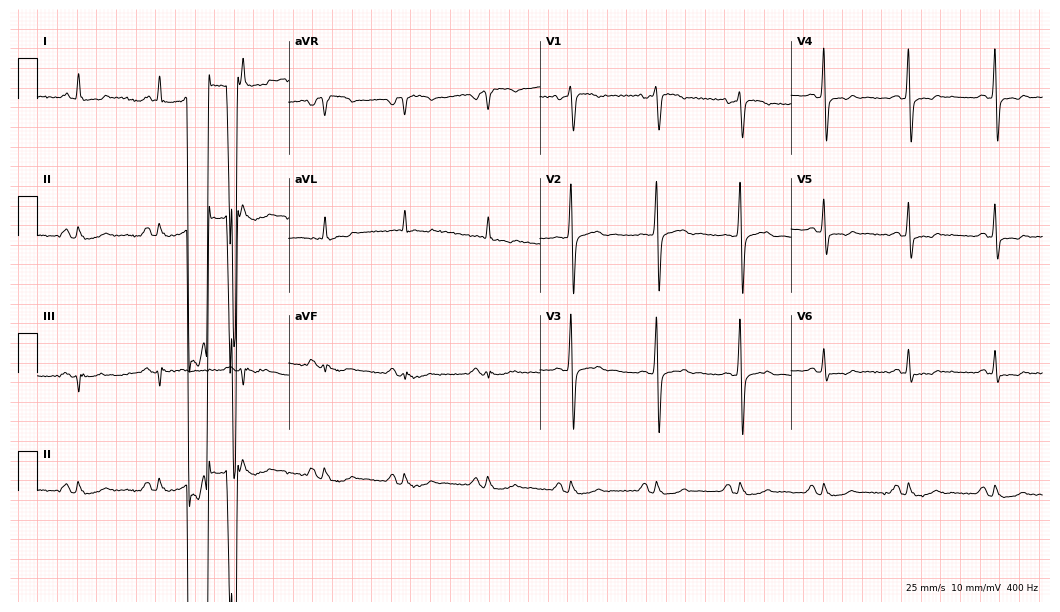
12-lead ECG (10.2-second recording at 400 Hz) from a 52-year-old man. Screened for six findings — first-degree AV block, right bundle branch block, left bundle branch block, sinus bradycardia, atrial fibrillation, sinus tachycardia — none is recorded.